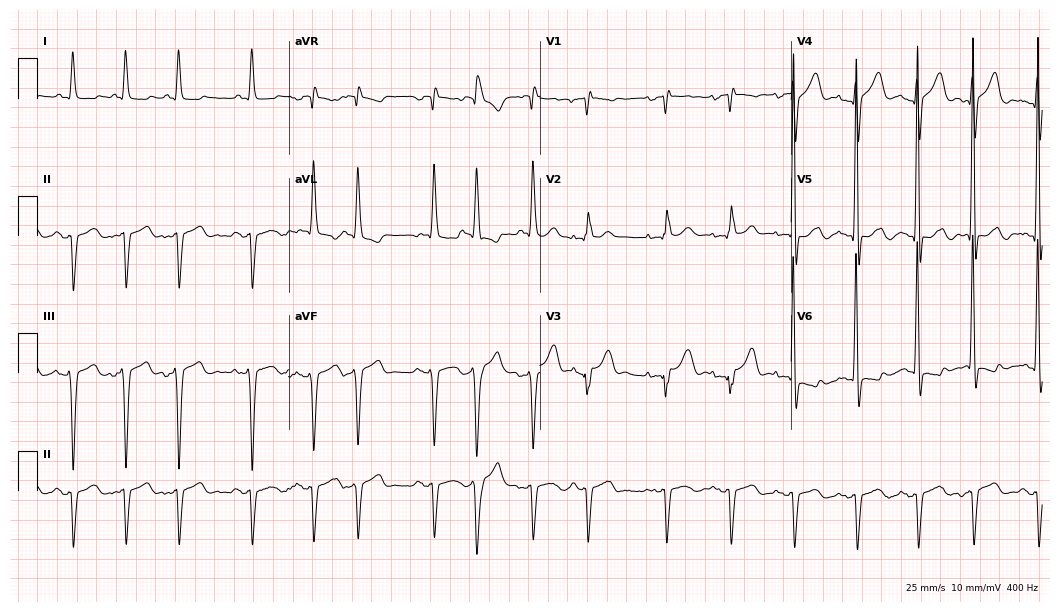
ECG (10.2-second recording at 400 Hz) — a 72-year-old male. Screened for six findings — first-degree AV block, right bundle branch block, left bundle branch block, sinus bradycardia, atrial fibrillation, sinus tachycardia — none is recorded. Findings outside these six are not listed.